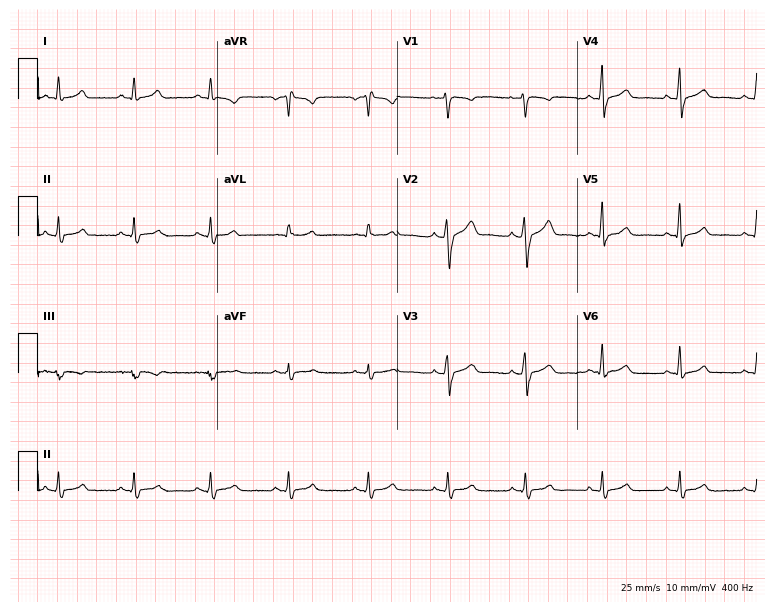
Electrocardiogram (7.3-second recording at 400 Hz), a male patient, 49 years old. Overall reading on record: normal ECG.